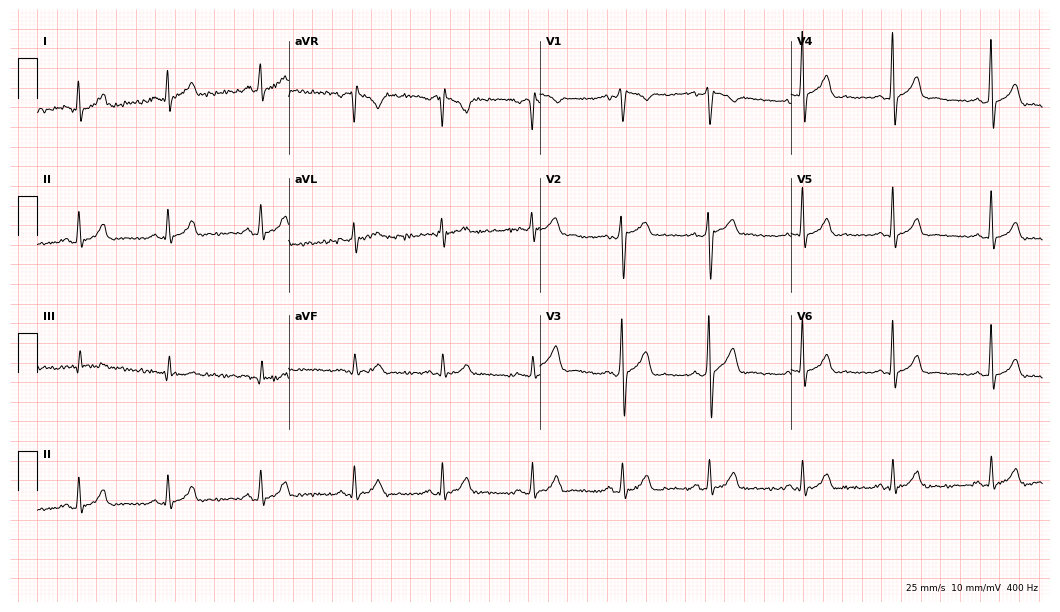
12-lead ECG from a male, 36 years old (10.2-second recording at 400 Hz). Recorded interpretation: within normal limits.